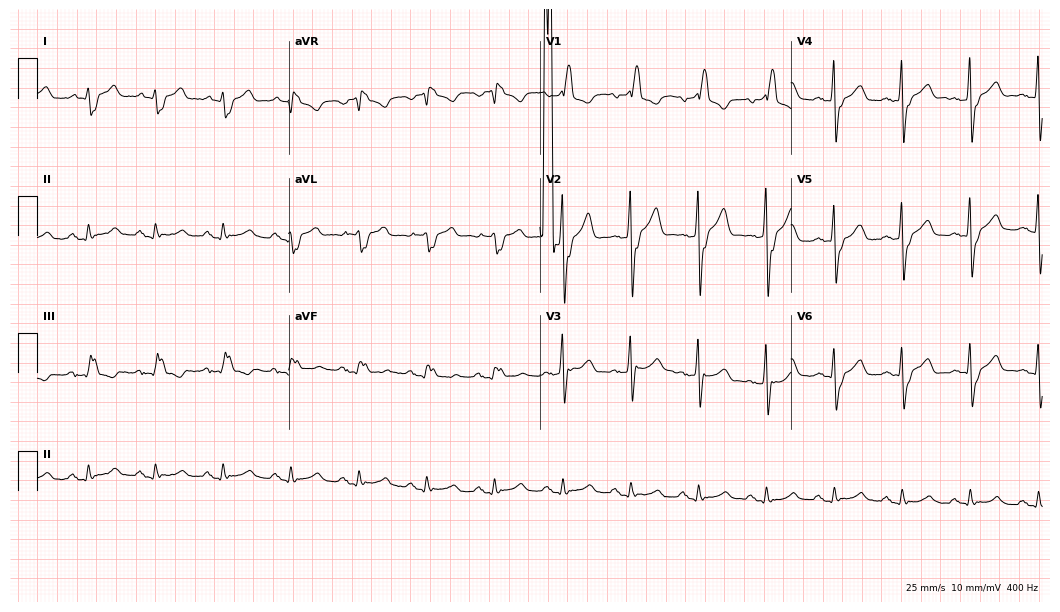
ECG (10.2-second recording at 400 Hz) — a 65-year-old male patient. Findings include right bundle branch block.